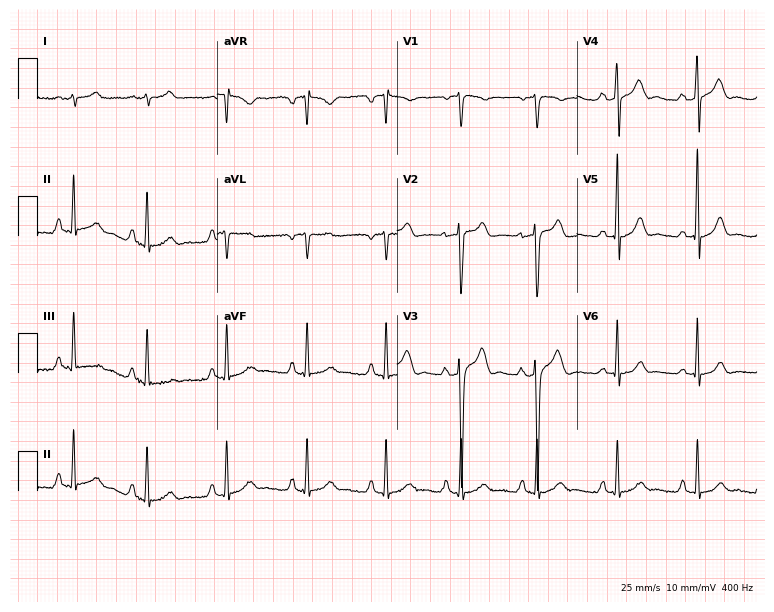
12-lead ECG (7.3-second recording at 400 Hz) from a male, 45 years old. Labelled as a normal ECG.